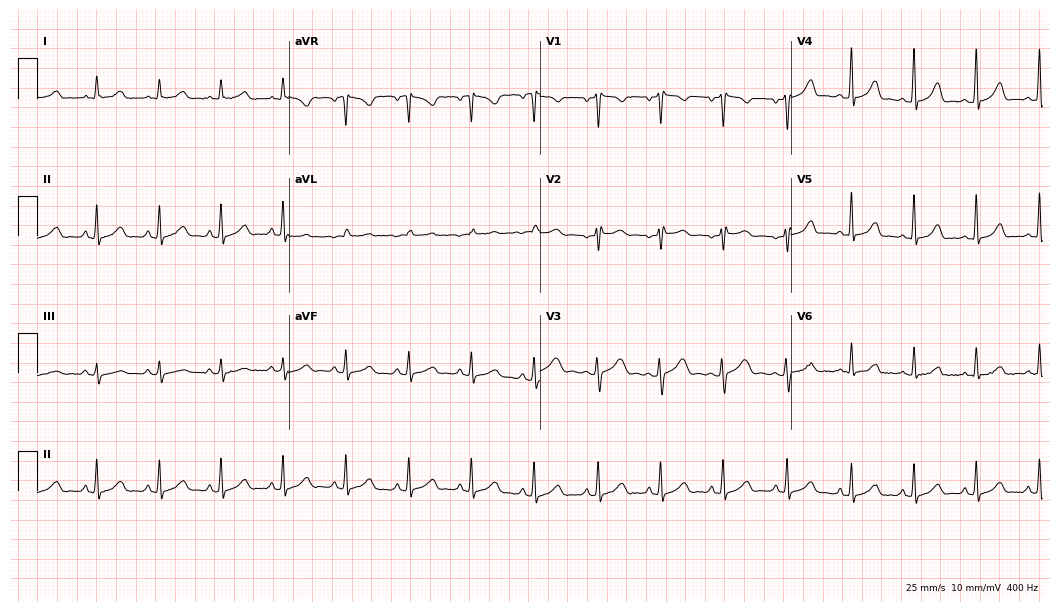
Standard 12-lead ECG recorded from a female, 20 years old. Read as a normal ECG.